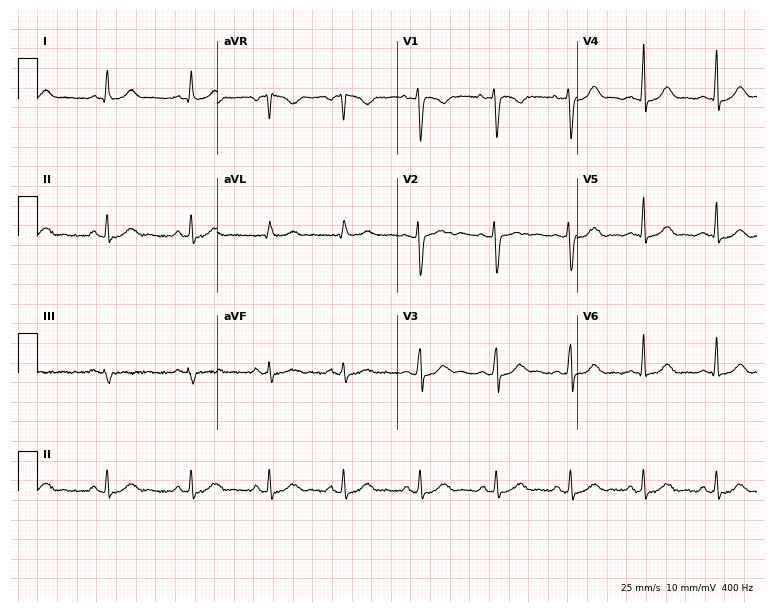
Resting 12-lead electrocardiogram (7.3-second recording at 400 Hz). Patient: a female, 25 years old. None of these six findings is recorded: first-degree AV block, right bundle branch block, left bundle branch block, sinus bradycardia, atrial fibrillation, sinus tachycardia. Only these six findings were labelled.